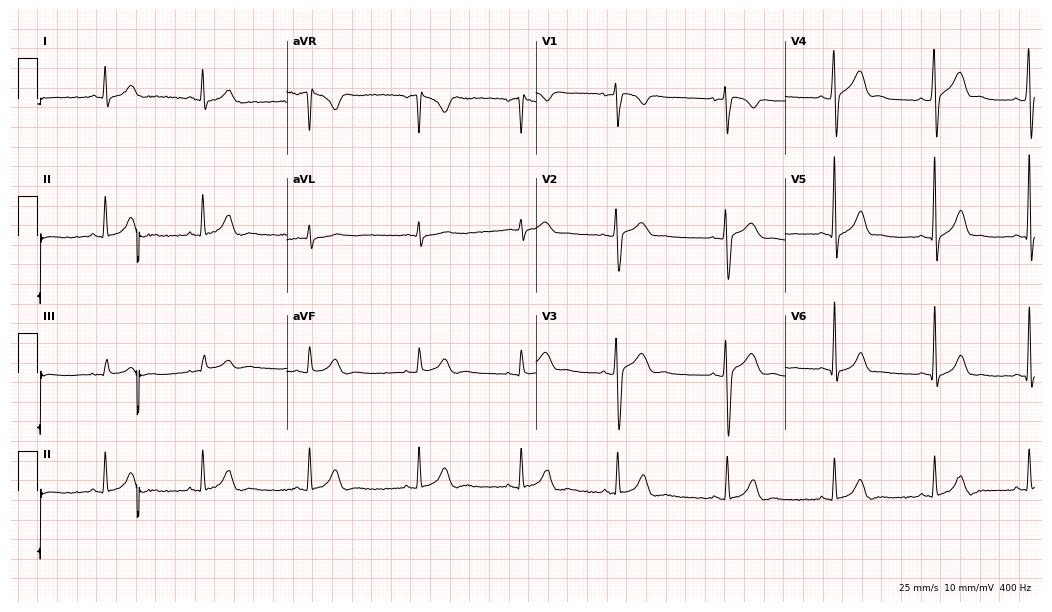
Electrocardiogram, a man, 22 years old. Overall reading on record: normal ECG.